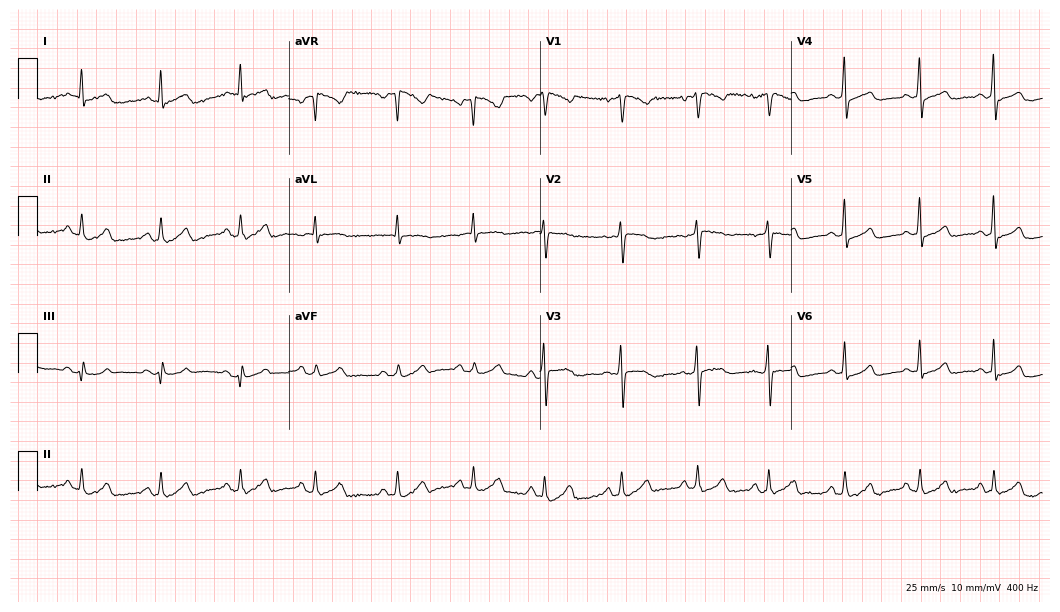
12-lead ECG from a 41-year-old female. Screened for six findings — first-degree AV block, right bundle branch block, left bundle branch block, sinus bradycardia, atrial fibrillation, sinus tachycardia — none is recorded. Other findings, if any, are not listed.